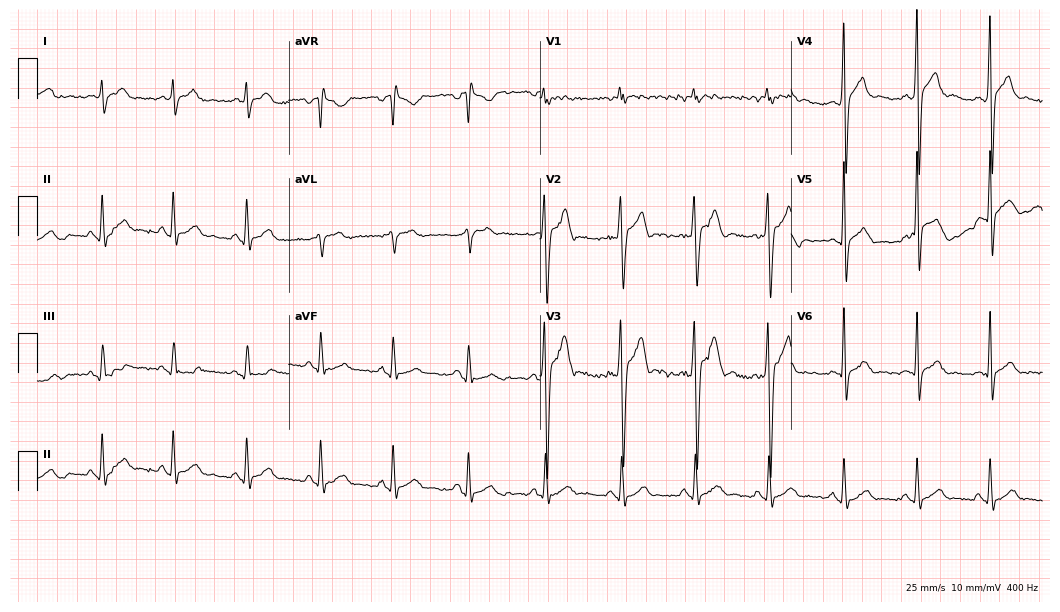
Resting 12-lead electrocardiogram. Patient: a 25-year-old male. None of these six findings is recorded: first-degree AV block, right bundle branch block, left bundle branch block, sinus bradycardia, atrial fibrillation, sinus tachycardia. Findings outside these six are not listed.